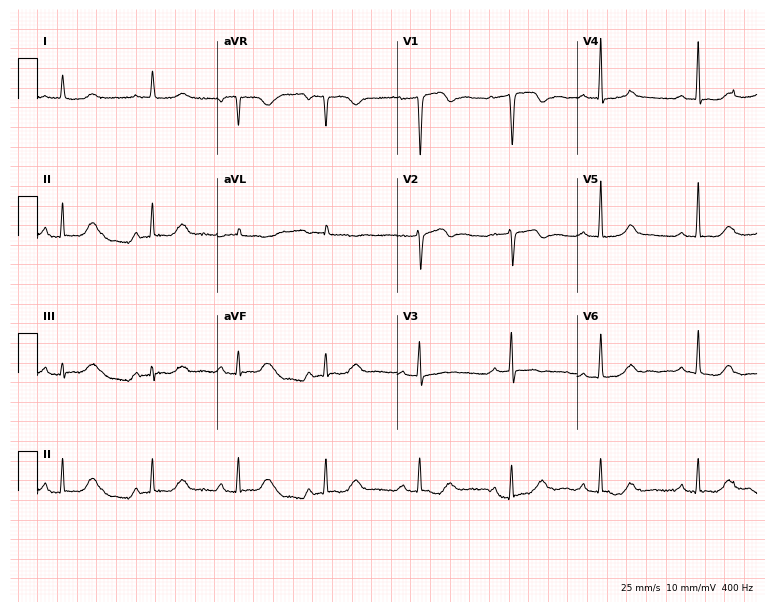
ECG — a 69-year-old woman. Screened for six findings — first-degree AV block, right bundle branch block, left bundle branch block, sinus bradycardia, atrial fibrillation, sinus tachycardia — none is recorded.